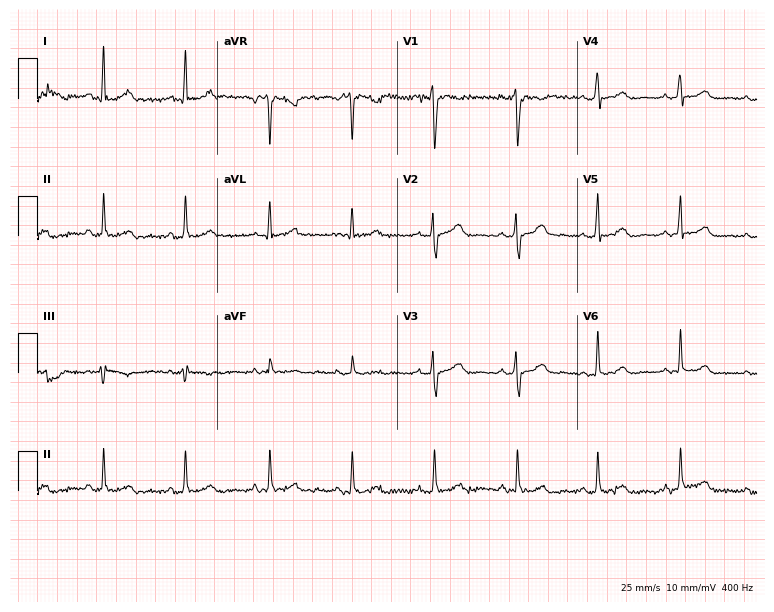
Resting 12-lead electrocardiogram. Patient: a 37-year-old female. None of these six findings is recorded: first-degree AV block, right bundle branch block (RBBB), left bundle branch block (LBBB), sinus bradycardia, atrial fibrillation (AF), sinus tachycardia. Findings outside these six are not listed.